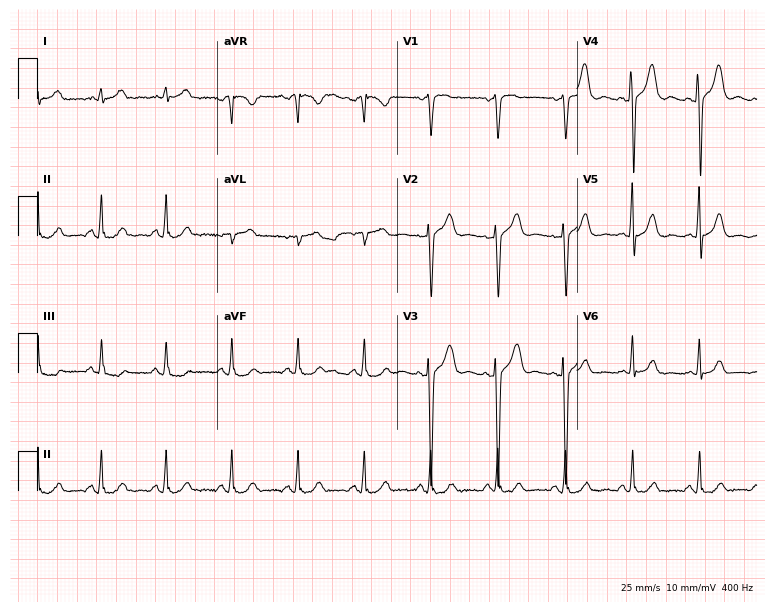
ECG (7.3-second recording at 400 Hz) — a 59-year-old man. Labelled as a normal ECG.